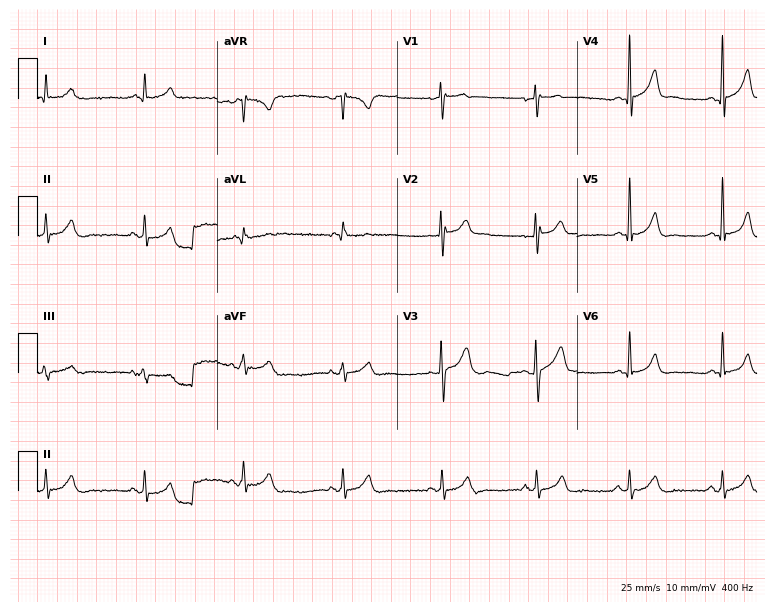
Electrocardiogram (7.3-second recording at 400 Hz), a man, 49 years old. Overall reading on record: normal ECG.